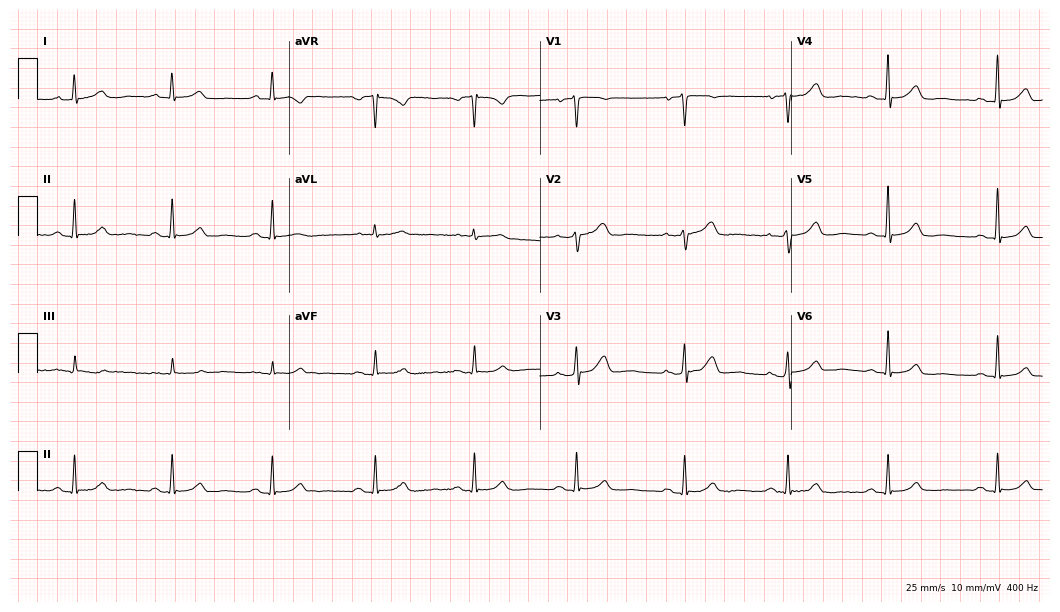
ECG — a 55-year-old woman. Labelled as a normal ECG.